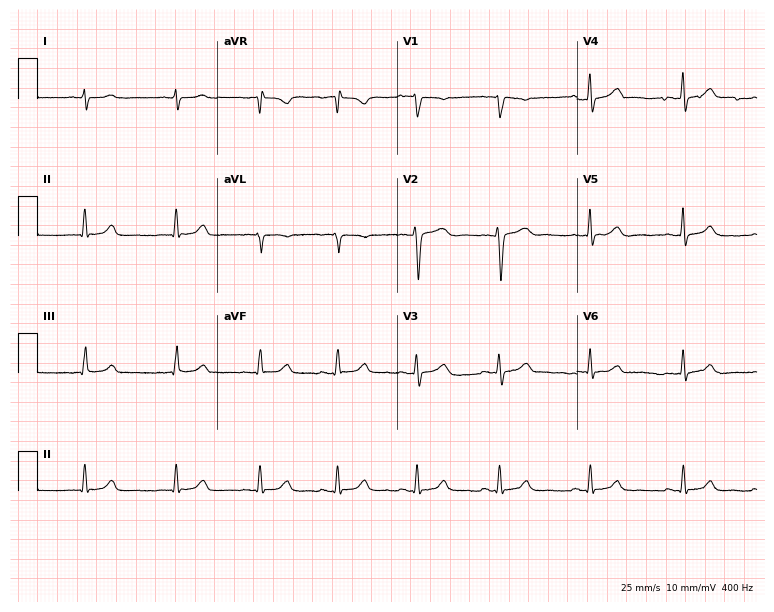
12-lead ECG (7.3-second recording at 400 Hz) from a woman, 26 years old. Screened for six findings — first-degree AV block, right bundle branch block, left bundle branch block, sinus bradycardia, atrial fibrillation, sinus tachycardia — none is recorded. Findings outside these six are not listed.